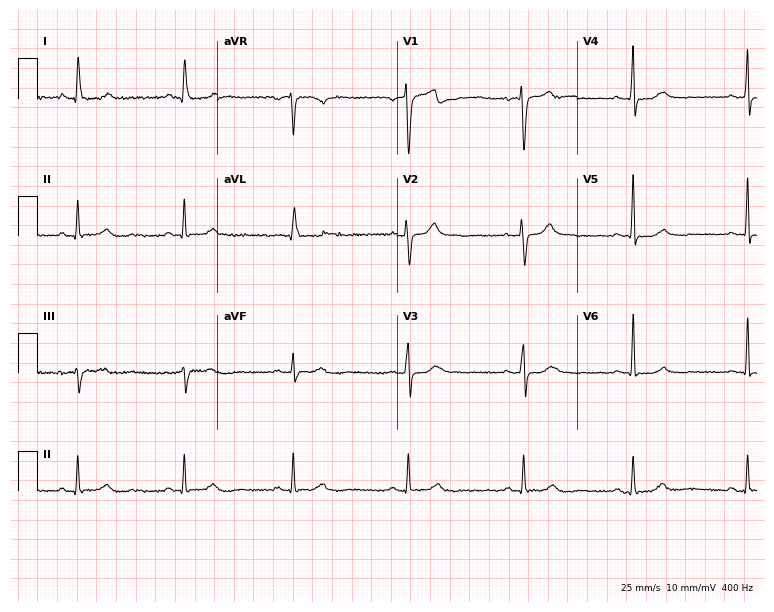
12-lead ECG (7.3-second recording at 400 Hz) from a female, 61 years old. Labelled as a normal ECG.